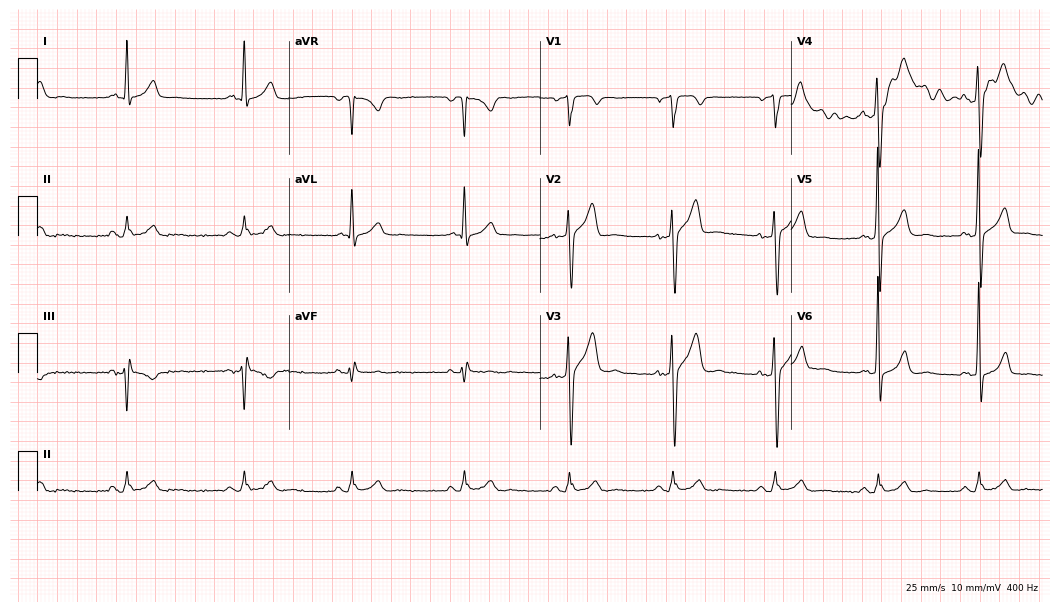
Electrocardiogram, a male patient, 42 years old. Of the six screened findings (first-degree AV block, right bundle branch block, left bundle branch block, sinus bradycardia, atrial fibrillation, sinus tachycardia), none is recorded.